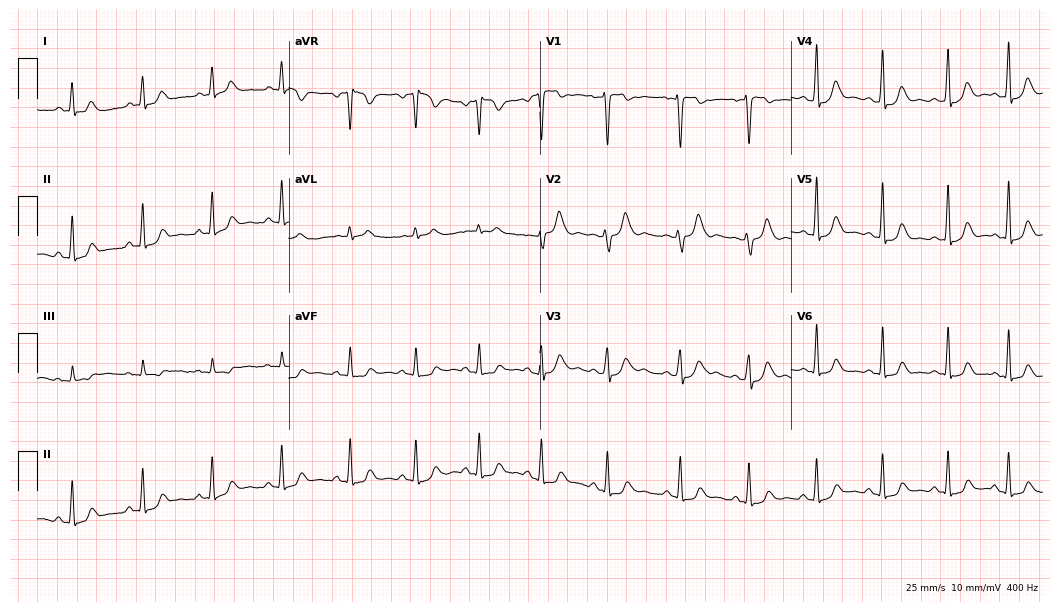
Standard 12-lead ECG recorded from a 22-year-old female patient (10.2-second recording at 400 Hz). None of these six findings is recorded: first-degree AV block, right bundle branch block (RBBB), left bundle branch block (LBBB), sinus bradycardia, atrial fibrillation (AF), sinus tachycardia. Other findings, if any, are not listed.